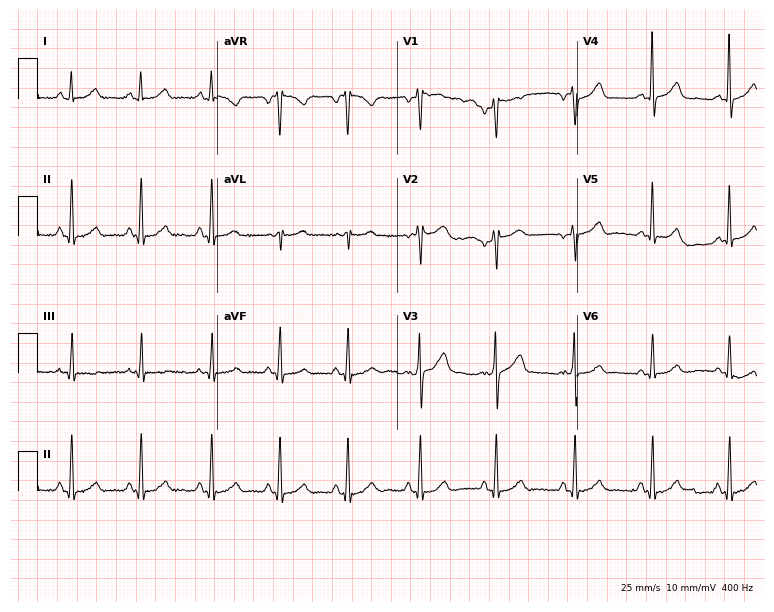
Electrocardiogram (7.3-second recording at 400 Hz), a 26-year-old woman. Overall reading on record: normal ECG.